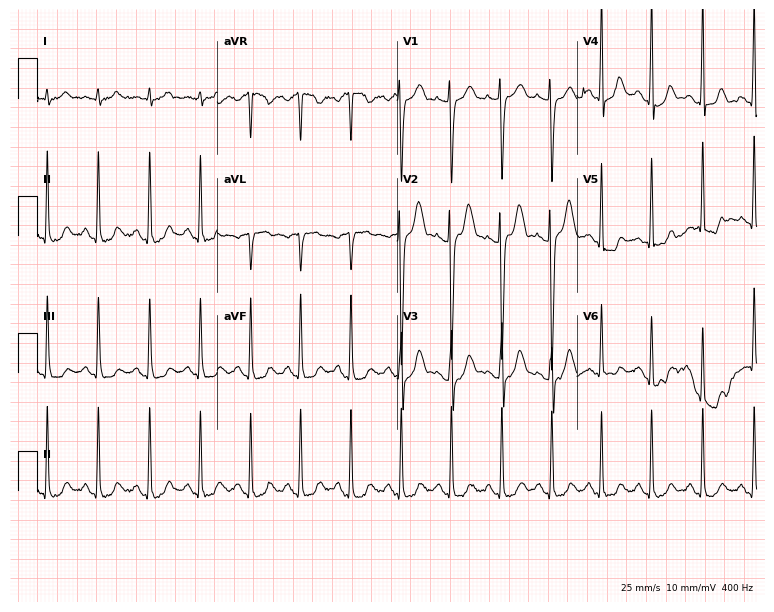
Electrocardiogram (7.3-second recording at 400 Hz), a 37-year-old male patient. Interpretation includes sinus tachycardia (a sinus rate of 100 beats per minute or more).